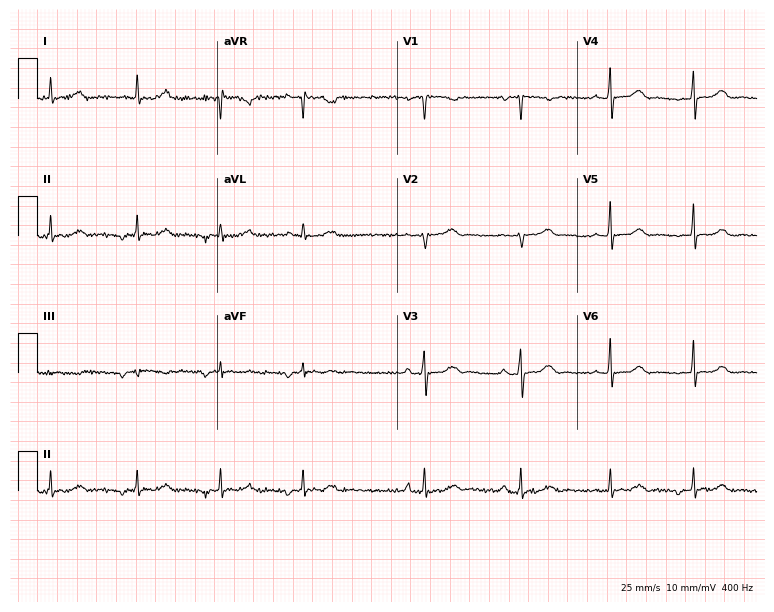
12-lead ECG from a 49-year-old female. Screened for six findings — first-degree AV block, right bundle branch block, left bundle branch block, sinus bradycardia, atrial fibrillation, sinus tachycardia — none is recorded. Findings outside these six are not listed.